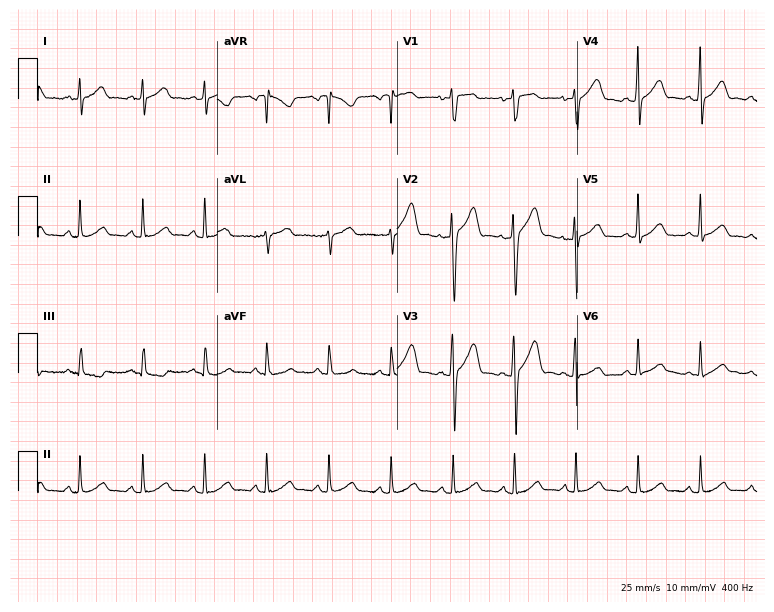
Standard 12-lead ECG recorded from a man, 31 years old. None of these six findings is recorded: first-degree AV block, right bundle branch block, left bundle branch block, sinus bradycardia, atrial fibrillation, sinus tachycardia.